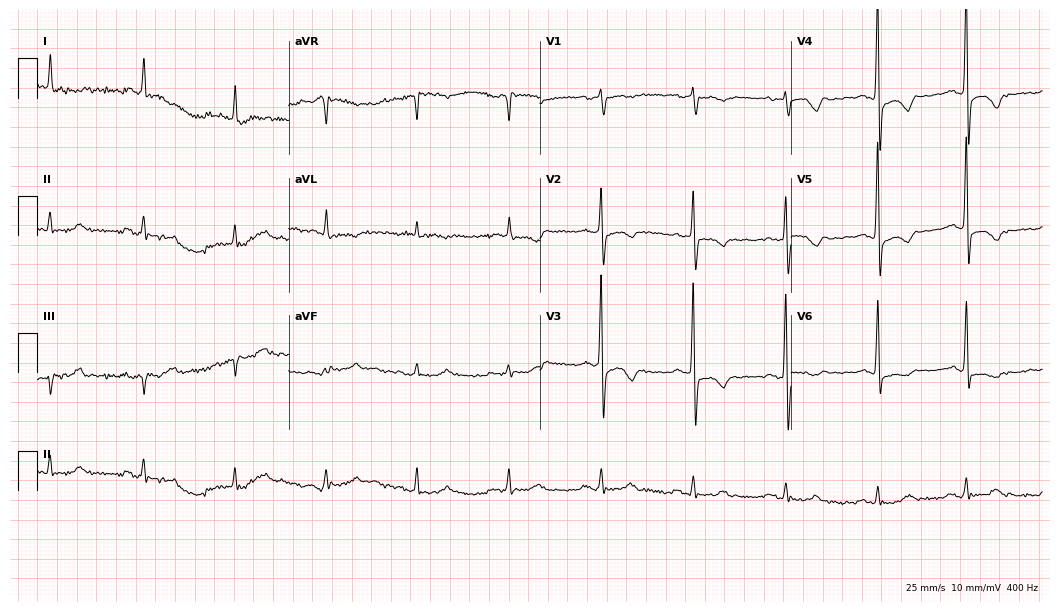
12-lead ECG (10.2-second recording at 400 Hz) from a woman, 78 years old. Screened for six findings — first-degree AV block, right bundle branch block, left bundle branch block, sinus bradycardia, atrial fibrillation, sinus tachycardia — none is recorded.